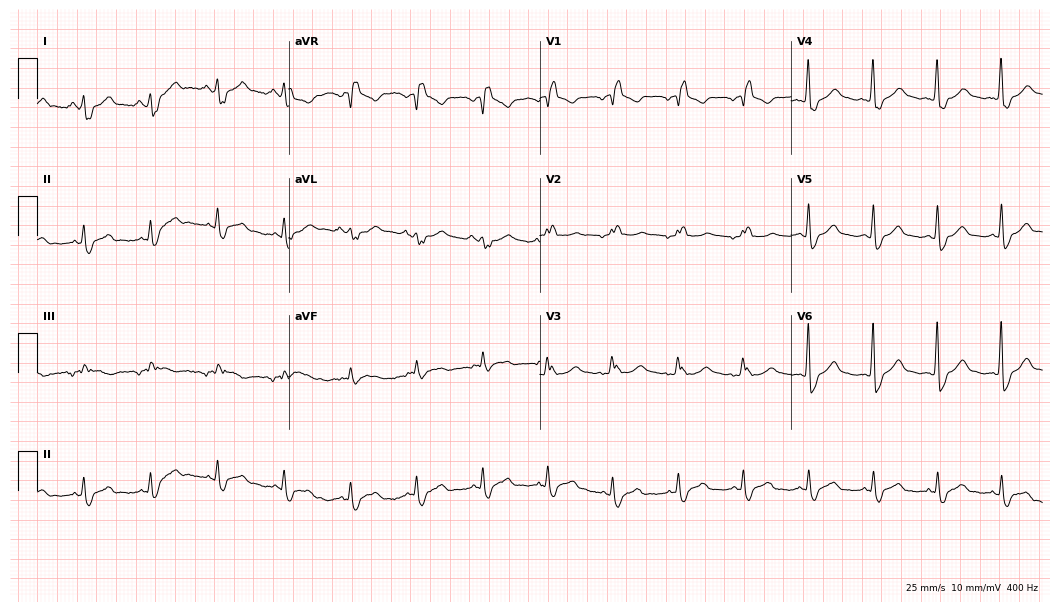
Electrocardiogram (10.2-second recording at 400 Hz), a 71-year-old male patient. Interpretation includes right bundle branch block.